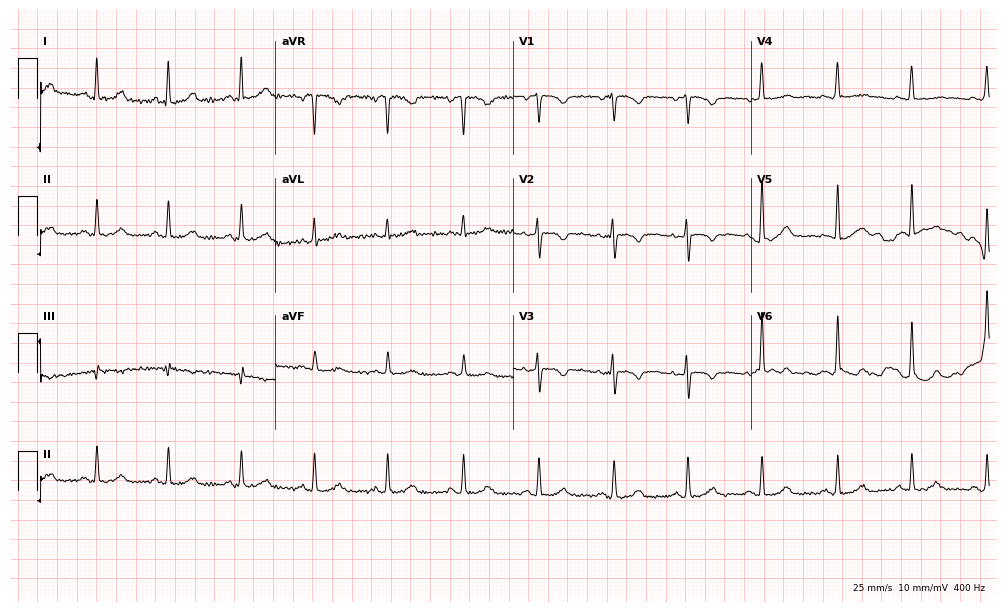
ECG (9.7-second recording at 400 Hz) — a female, 49 years old. Screened for six findings — first-degree AV block, right bundle branch block, left bundle branch block, sinus bradycardia, atrial fibrillation, sinus tachycardia — none is recorded.